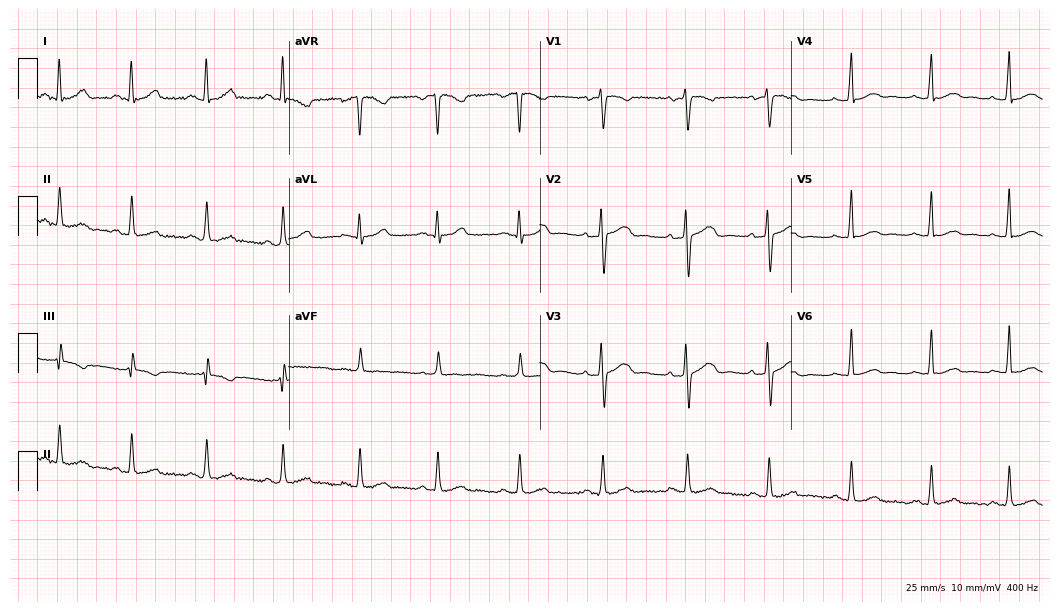
Standard 12-lead ECG recorded from a female patient, 23 years old. Read as a normal ECG.